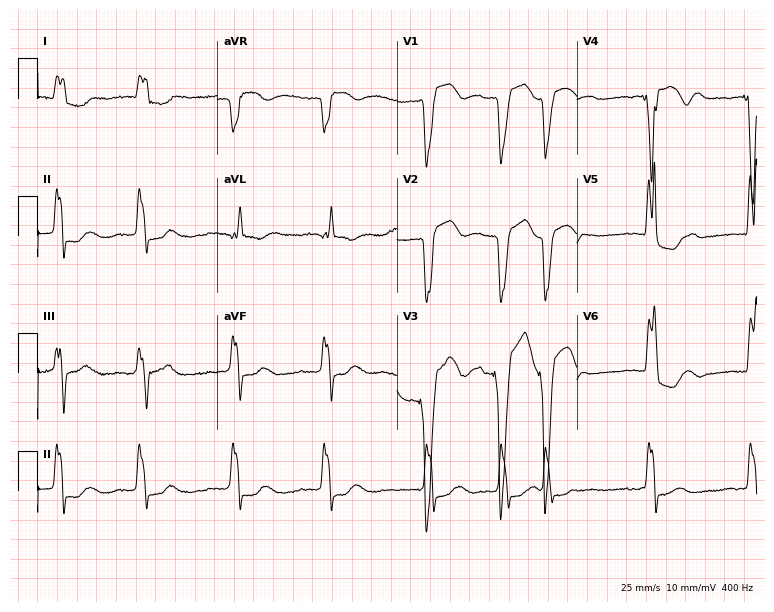
Standard 12-lead ECG recorded from a woman, 79 years old (7.3-second recording at 400 Hz). The tracing shows left bundle branch block (LBBB), atrial fibrillation (AF).